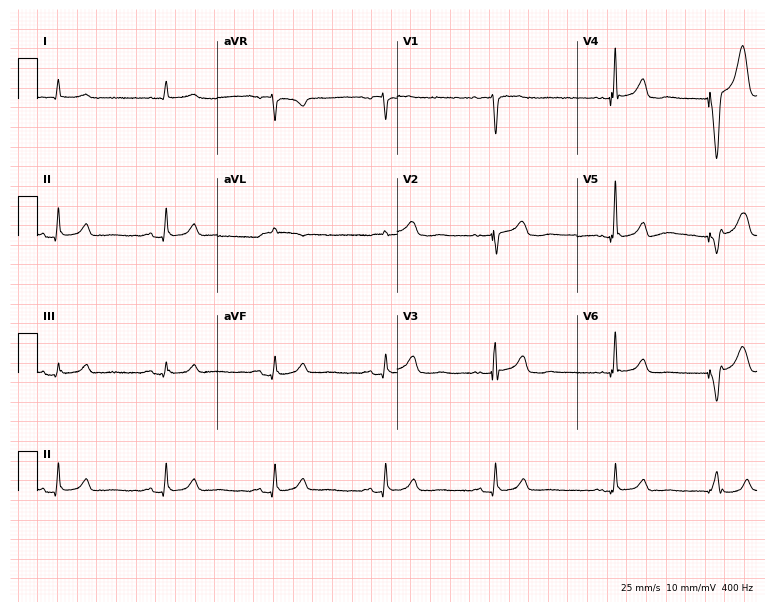
Resting 12-lead electrocardiogram (7.3-second recording at 400 Hz). Patient: a 52-year-old male. None of these six findings is recorded: first-degree AV block, right bundle branch block, left bundle branch block, sinus bradycardia, atrial fibrillation, sinus tachycardia.